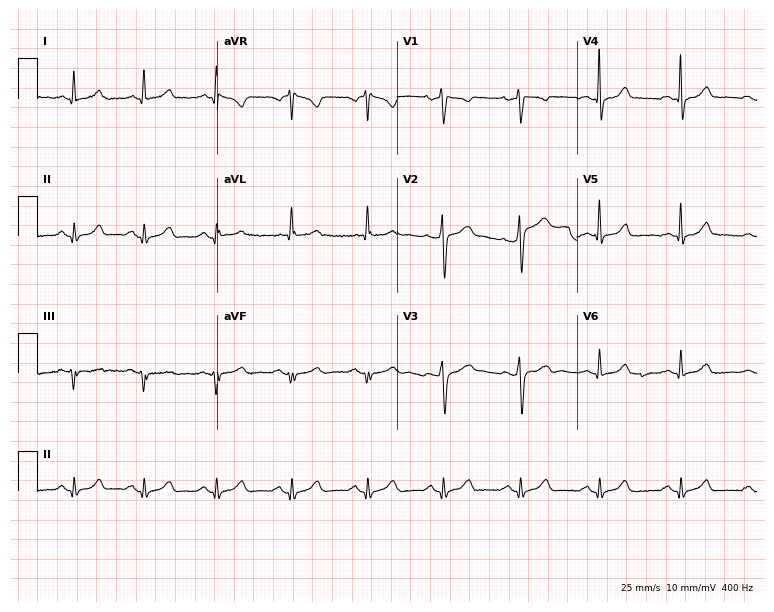
ECG — a female patient, 41 years old. Labelled as a normal ECG.